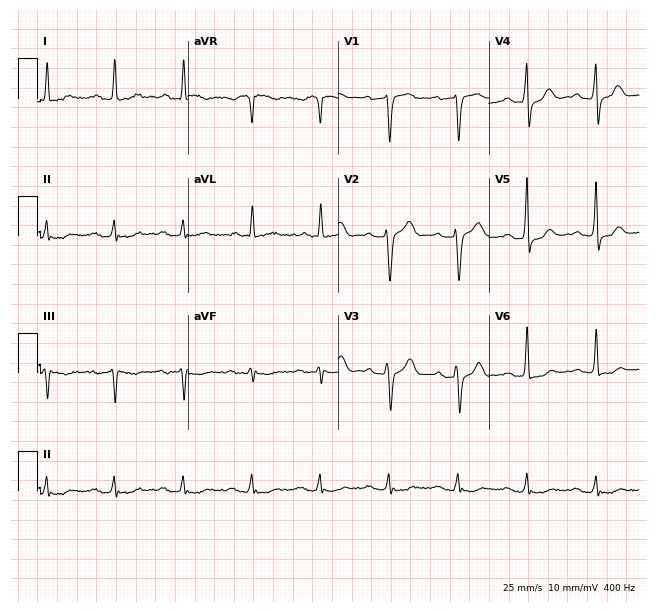
Resting 12-lead electrocardiogram. Patient: a man, 85 years old. Read as a normal ECG.